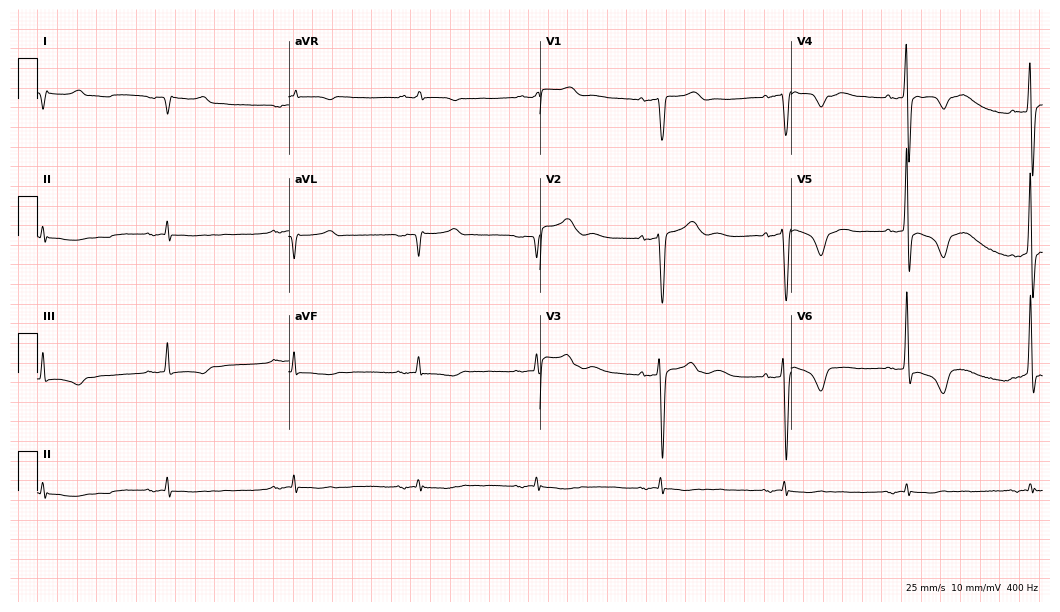
Standard 12-lead ECG recorded from a 70-year-old man (10.2-second recording at 400 Hz). None of these six findings is recorded: first-degree AV block, right bundle branch block, left bundle branch block, sinus bradycardia, atrial fibrillation, sinus tachycardia. Only these six findings were labelled.